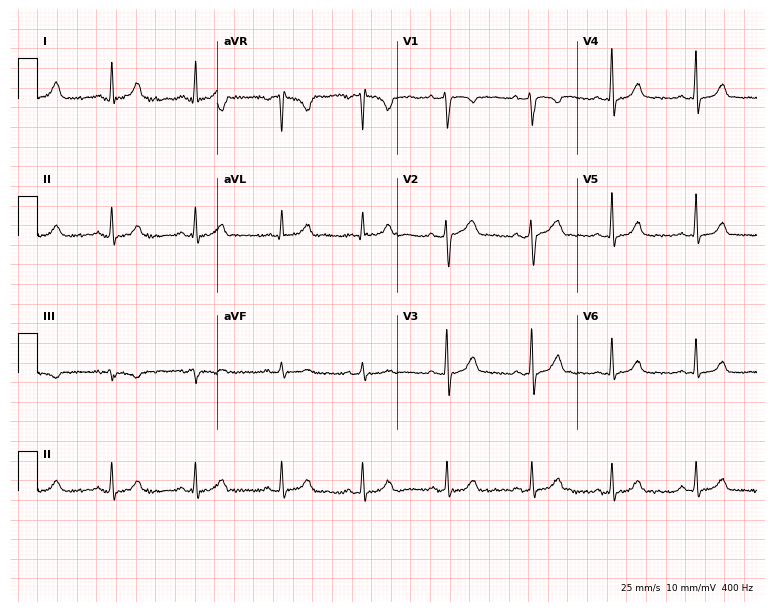
12-lead ECG from a woman, 27 years old. Labelled as a normal ECG.